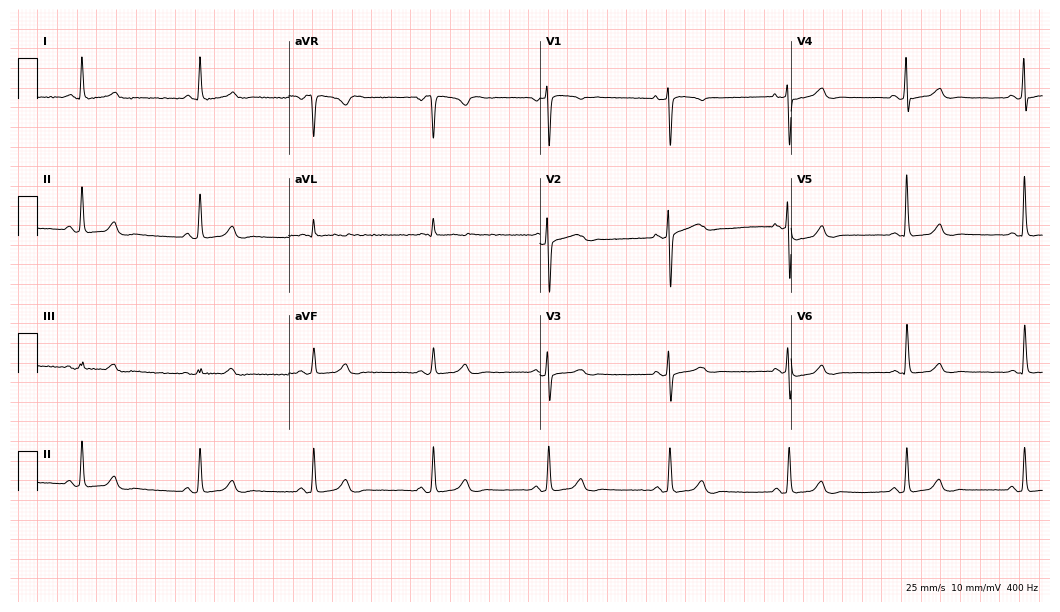
ECG (10.2-second recording at 400 Hz) — a 63-year-old female. Labelled as a normal ECG.